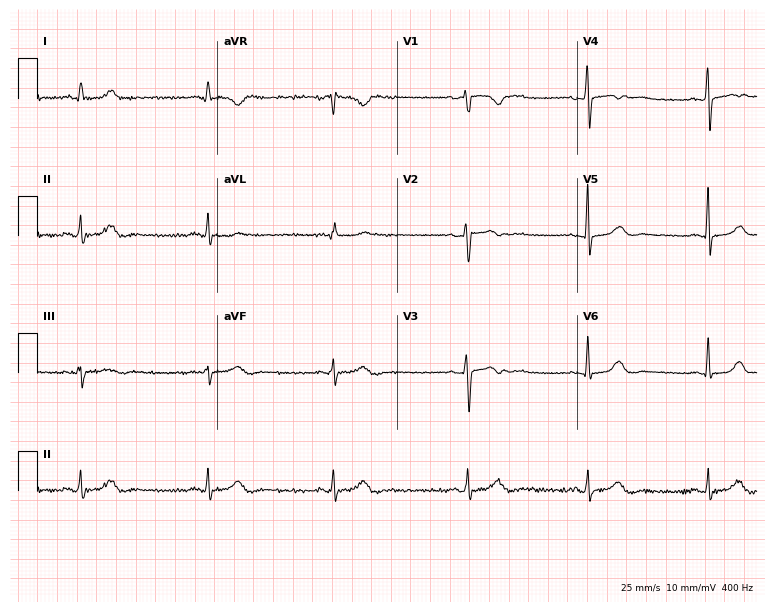
Standard 12-lead ECG recorded from a 44-year-old female patient. The tracing shows sinus bradycardia (a sinus rate of 50 beats per minute or less).